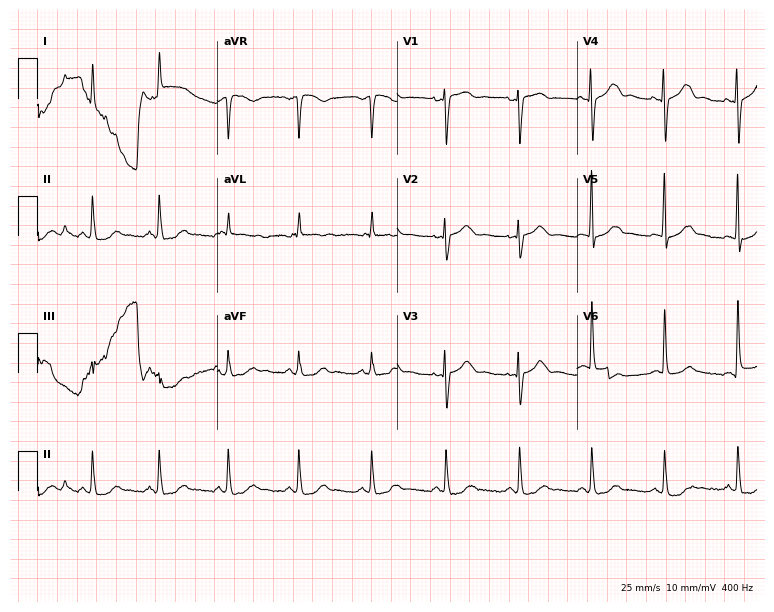
Electrocardiogram (7.3-second recording at 400 Hz), a female, 69 years old. Overall reading on record: normal ECG.